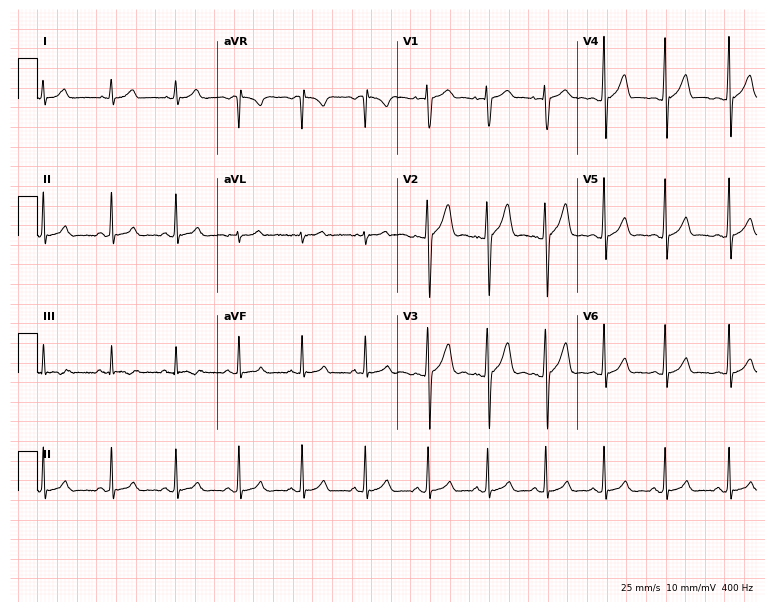
12-lead ECG from a male, 19 years old (7.3-second recording at 400 Hz). Recorded interpretation: within normal limits.